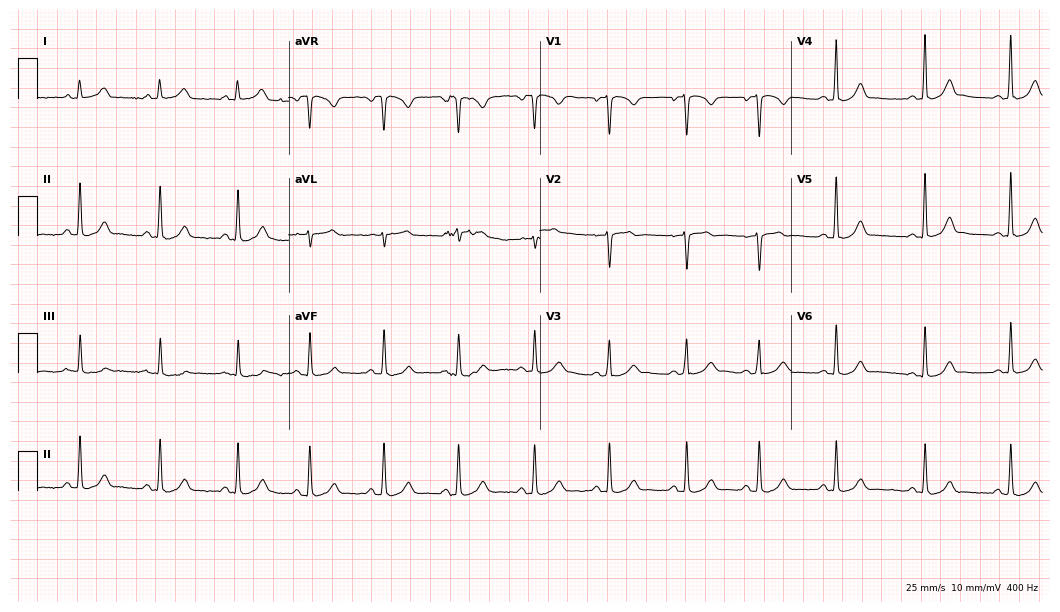
12-lead ECG from a female, 27 years old. Recorded interpretation: within normal limits.